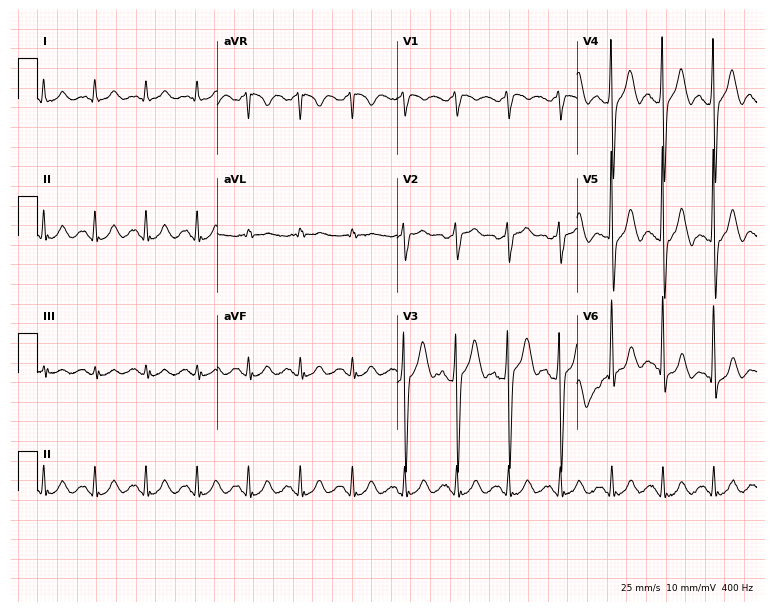
ECG — a male, 52 years old. Findings include sinus tachycardia (a sinus rate of 100 beats per minute or more).